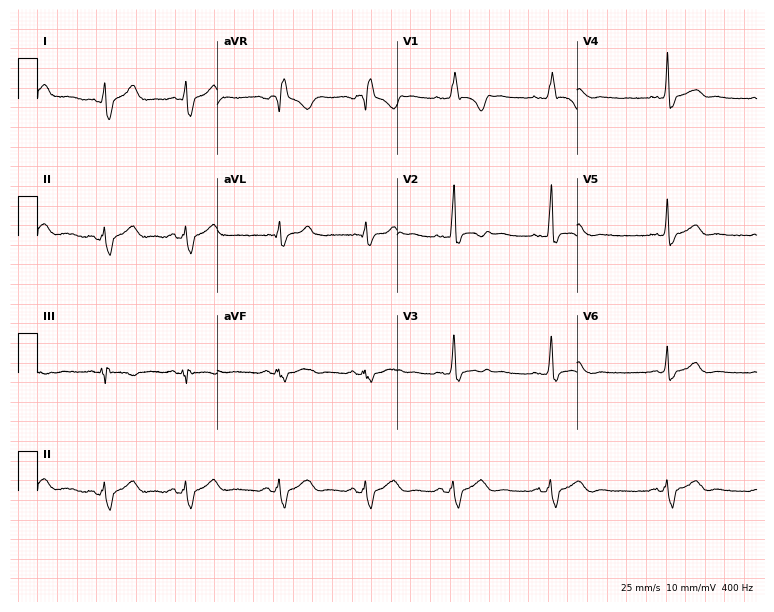
Electrocardiogram, a 35-year-old female. Of the six screened findings (first-degree AV block, right bundle branch block, left bundle branch block, sinus bradycardia, atrial fibrillation, sinus tachycardia), none is recorded.